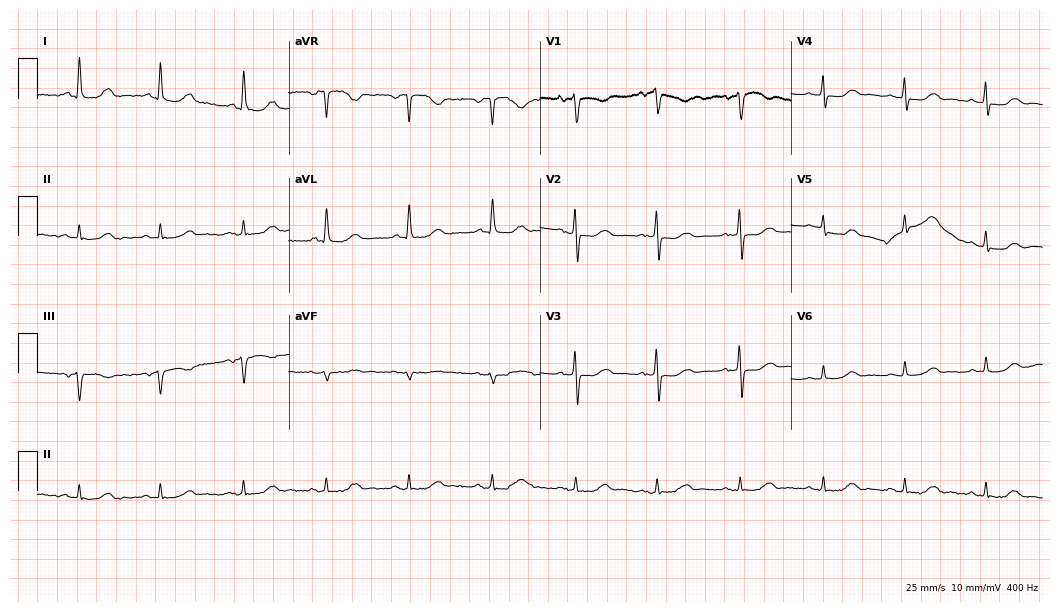
12-lead ECG (10.2-second recording at 400 Hz) from a 72-year-old female patient. Screened for six findings — first-degree AV block, right bundle branch block (RBBB), left bundle branch block (LBBB), sinus bradycardia, atrial fibrillation (AF), sinus tachycardia — none is recorded. Only these six findings were labelled.